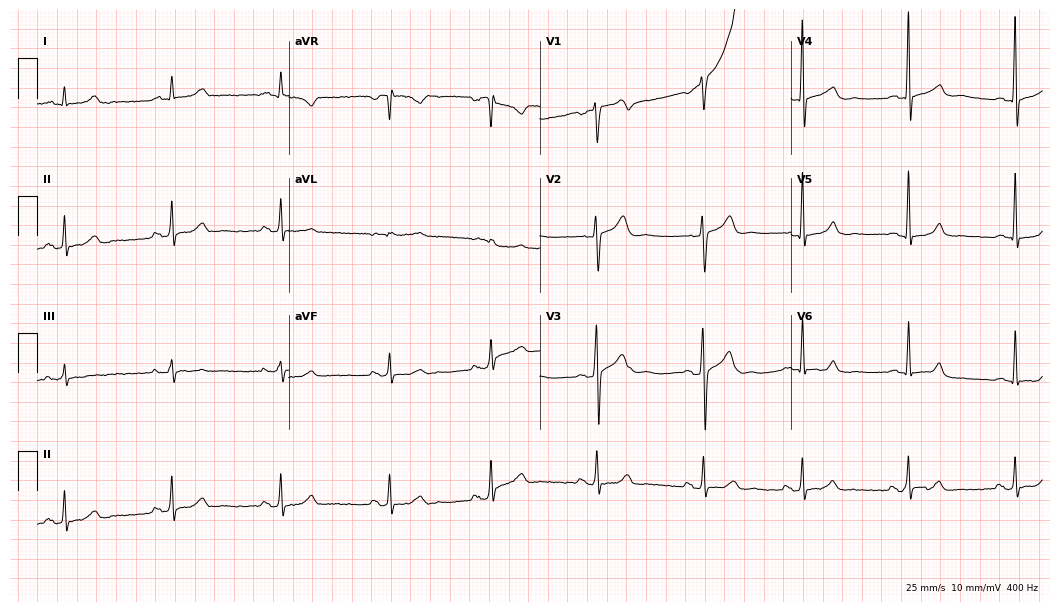
12-lead ECG from a man, 45 years old (10.2-second recording at 400 Hz). No first-degree AV block, right bundle branch block (RBBB), left bundle branch block (LBBB), sinus bradycardia, atrial fibrillation (AF) or sinus tachycardia recorded for this tracing. Findings outside these six are not listed.